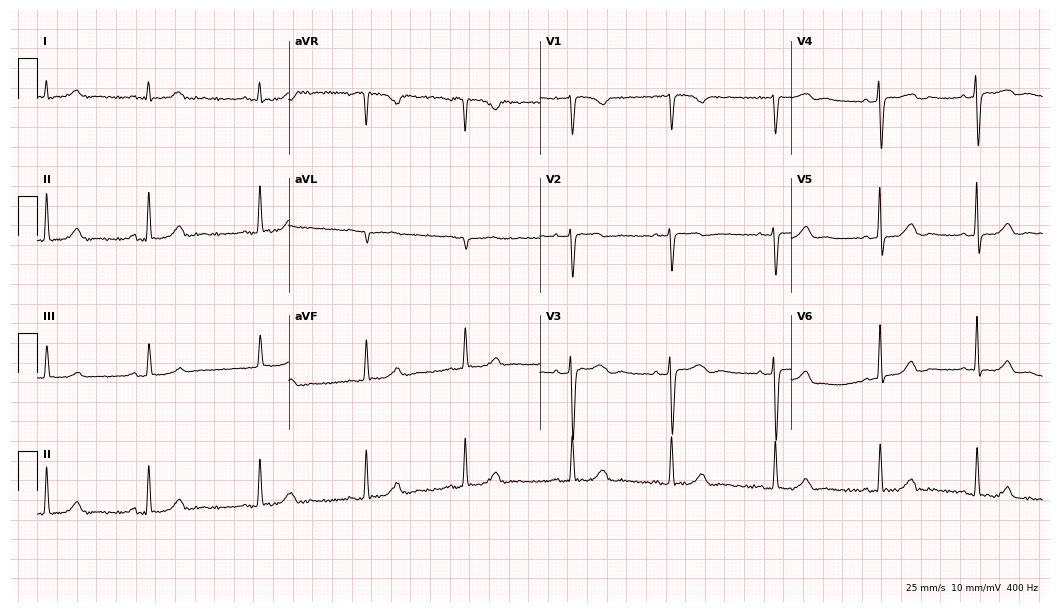
Resting 12-lead electrocardiogram. Patient: a 39-year-old female. Read as a normal ECG.